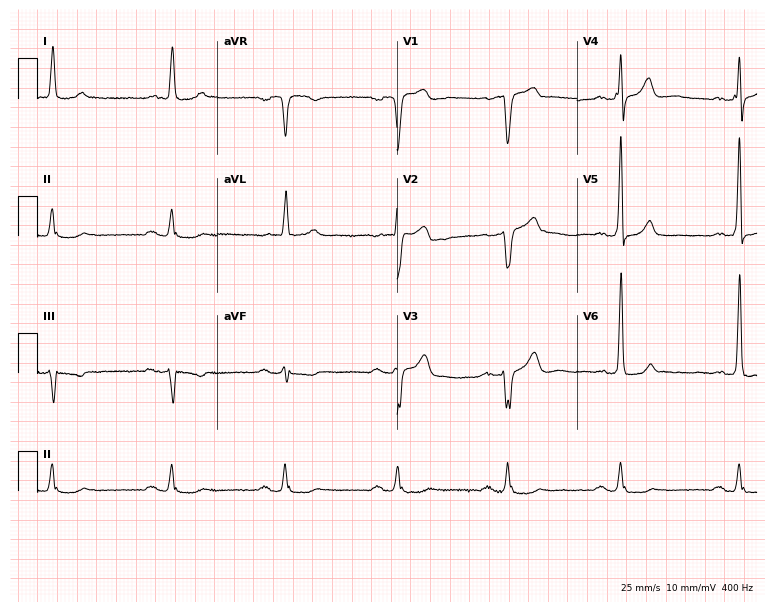
Standard 12-lead ECG recorded from a 66-year-old male. The tracing shows first-degree AV block.